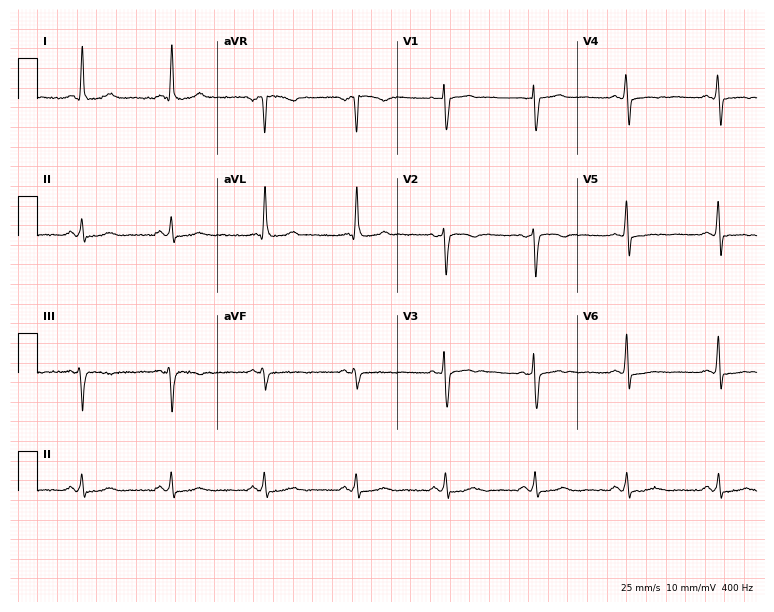
Electrocardiogram, a 52-year-old female. Of the six screened findings (first-degree AV block, right bundle branch block (RBBB), left bundle branch block (LBBB), sinus bradycardia, atrial fibrillation (AF), sinus tachycardia), none is recorded.